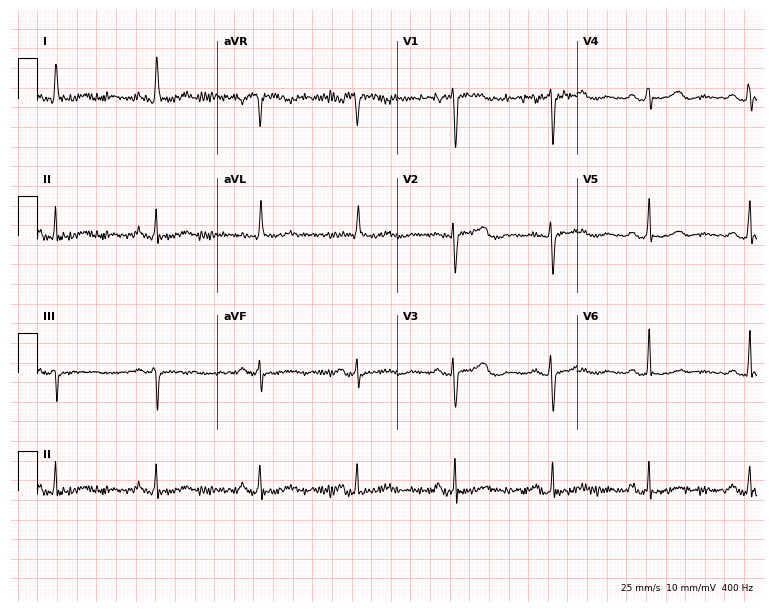
12-lead ECG from a female patient, 65 years old. Labelled as a normal ECG.